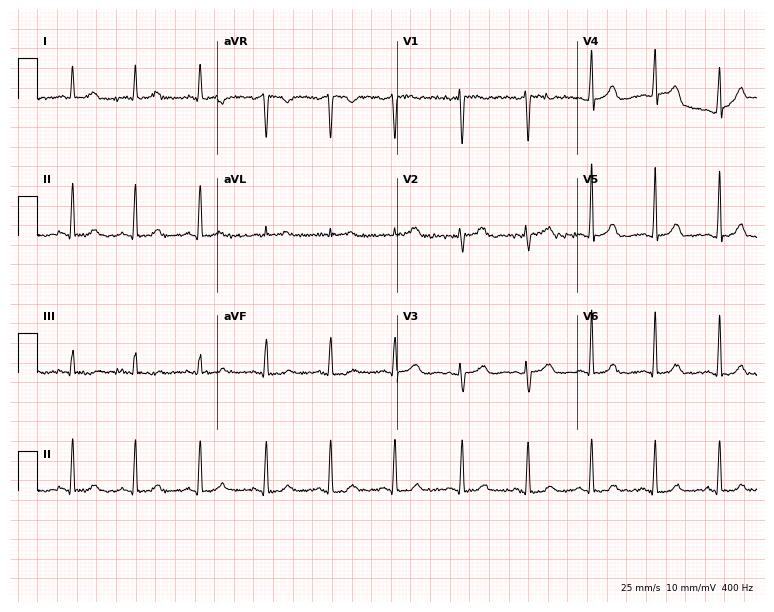
Resting 12-lead electrocardiogram. Patient: a 42-year-old female. None of these six findings is recorded: first-degree AV block, right bundle branch block (RBBB), left bundle branch block (LBBB), sinus bradycardia, atrial fibrillation (AF), sinus tachycardia. Other findings, if any, are not listed.